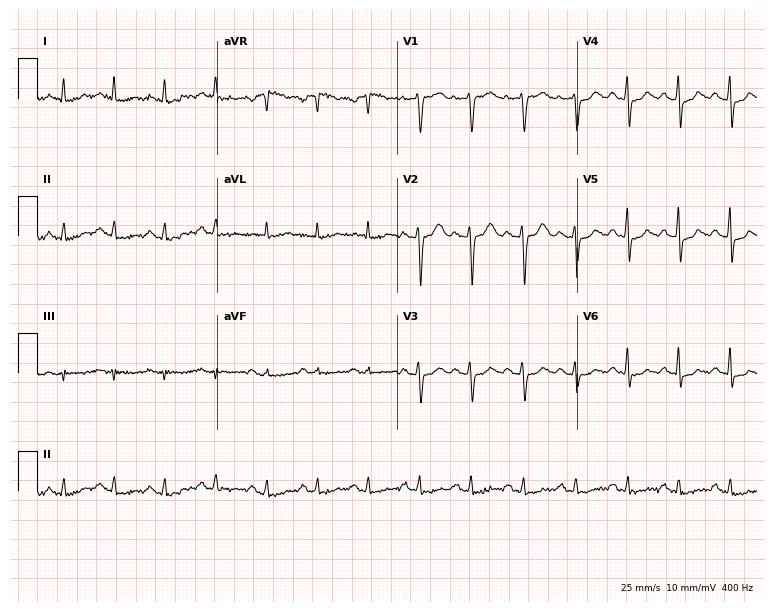
12-lead ECG (7.3-second recording at 400 Hz) from a female patient, 53 years old. Findings include sinus tachycardia (a sinus rate of 100 beats per minute or more).